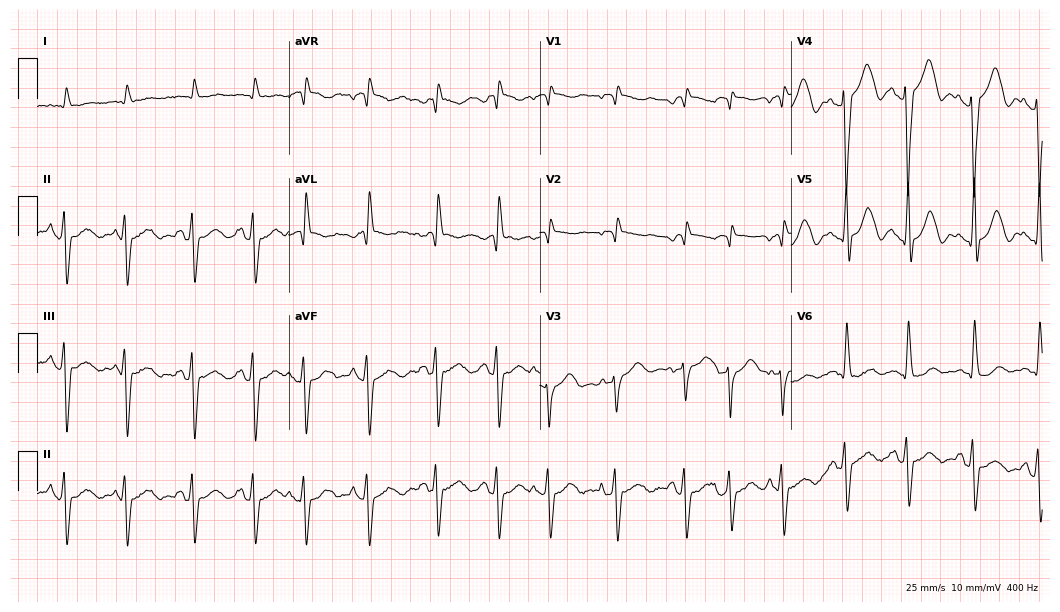
Resting 12-lead electrocardiogram. Patient: an 82-year-old female. None of these six findings is recorded: first-degree AV block, right bundle branch block, left bundle branch block, sinus bradycardia, atrial fibrillation, sinus tachycardia. Other findings, if any, are not listed.